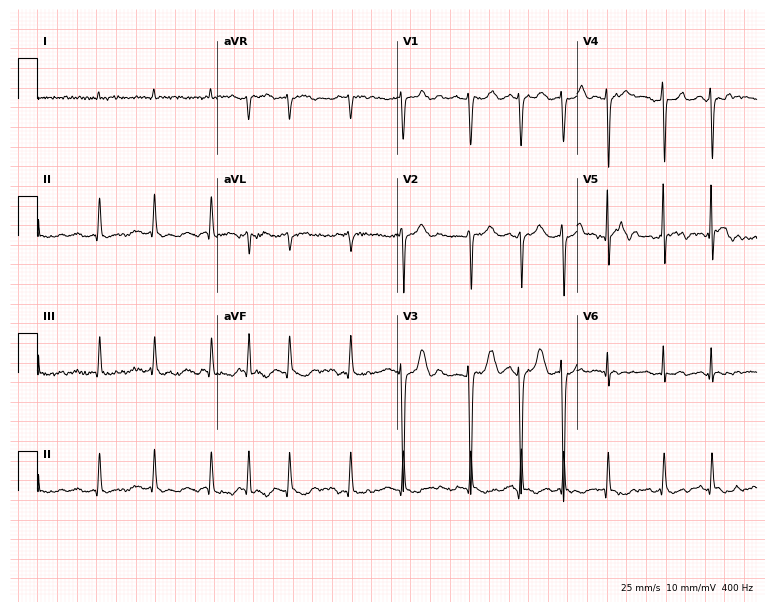
Electrocardiogram (7.3-second recording at 400 Hz), a female, 79 years old. Interpretation includes atrial fibrillation.